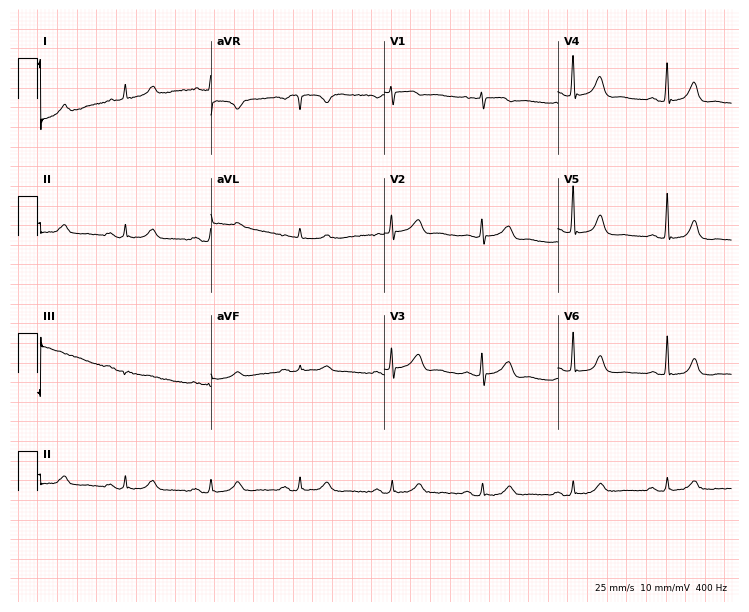
Electrocardiogram, a 75-year-old female patient. Of the six screened findings (first-degree AV block, right bundle branch block (RBBB), left bundle branch block (LBBB), sinus bradycardia, atrial fibrillation (AF), sinus tachycardia), none is recorded. Only these six findings were labelled.